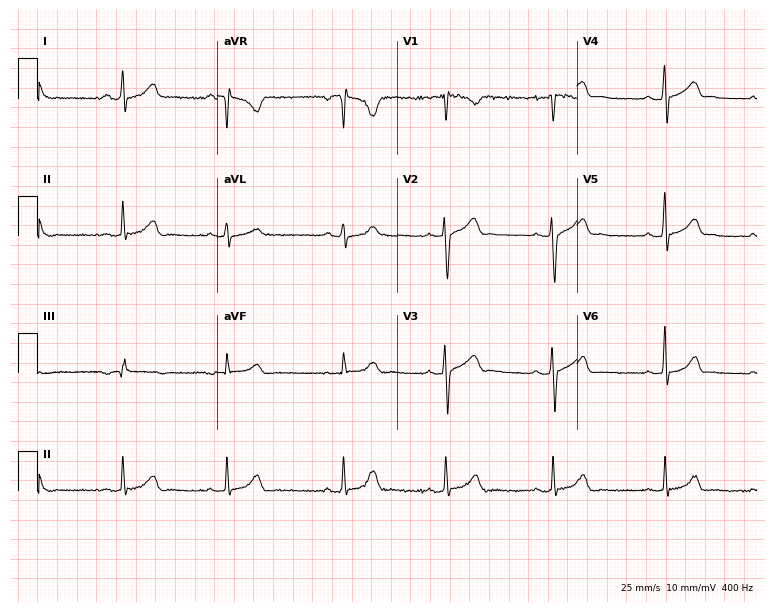
ECG (7.3-second recording at 400 Hz) — a man, 27 years old. Labelled as a normal ECG.